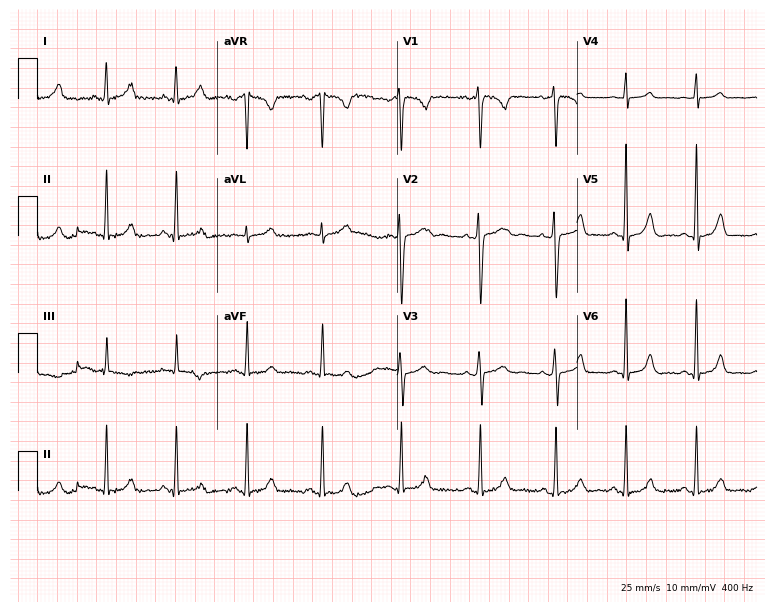
Standard 12-lead ECG recorded from a 29-year-old female (7.3-second recording at 400 Hz). Read as a normal ECG.